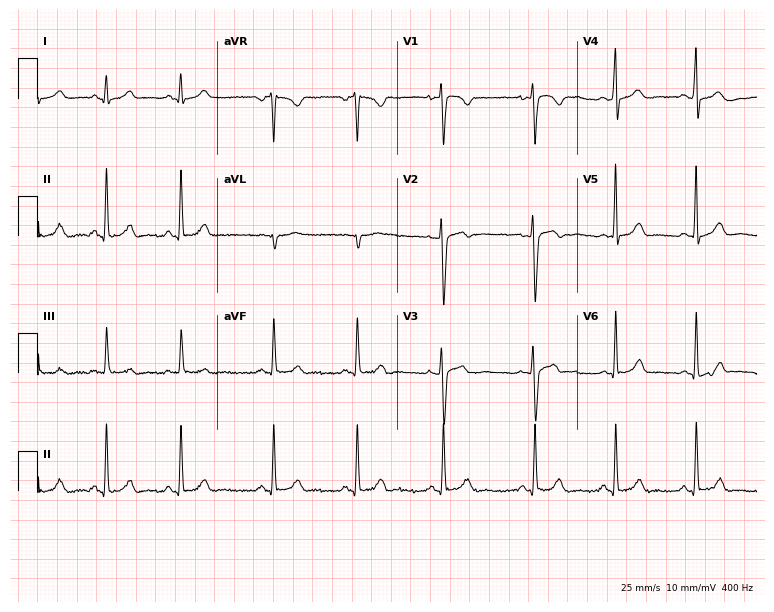
12-lead ECG from a 20-year-old female. Screened for six findings — first-degree AV block, right bundle branch block, left bundle branch block, sinus bradycardia, atrial fibrillation, sinus tachycardia — none is recorded.